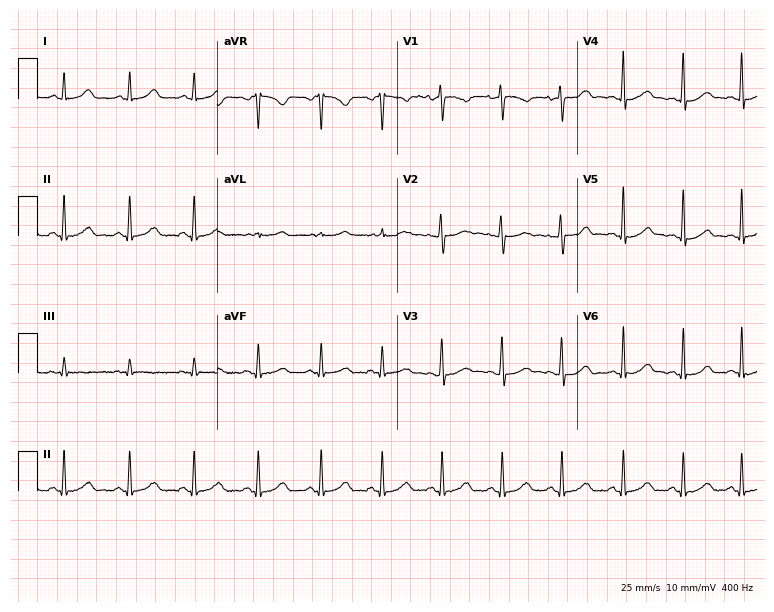
Standard 12-lead ECG recorded from a 25-year-old female patient (7.3-second recording at 400 Hz). None of these six findings is recorded: first-degree AV block, right bundle branch block, left bundle branch block, sinus bradycardia, atrial fibrillation, sinus tachycardia.